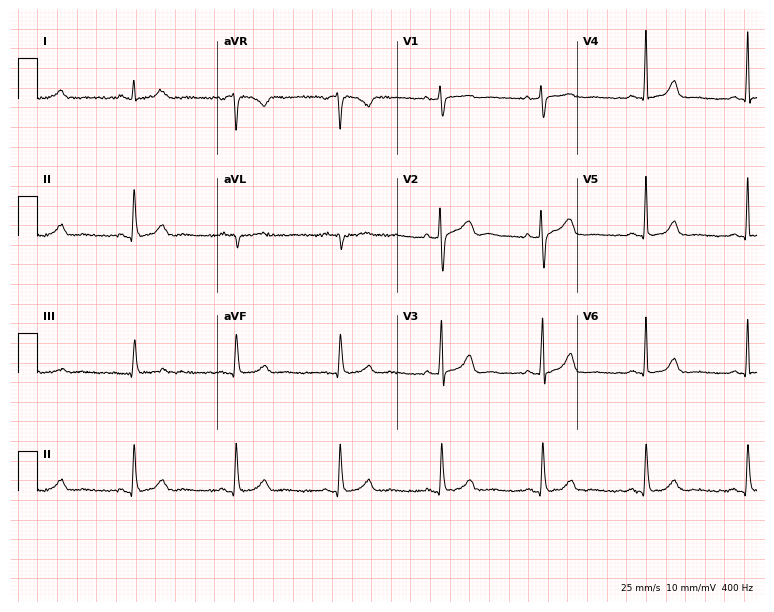
ECG (7.3-second recording at 400 Hz) — a woman, 47 years old. Screened for six findings — first-degree AV block, right bundle branch block (RBBB), left bundle branch block (LBBB), sinus bradycardia, atrial fibrillation (AF), sinus tachycardia — none is recorded. Findings outside these six are not listed.